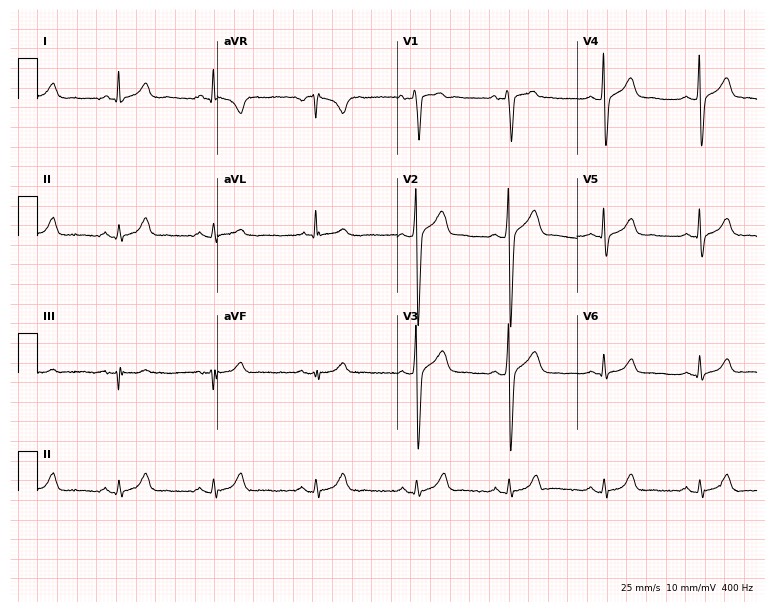
ECG (7.3-second recording at 400 Hz) — a male, 35 years old. Labelled as a normal ECG.